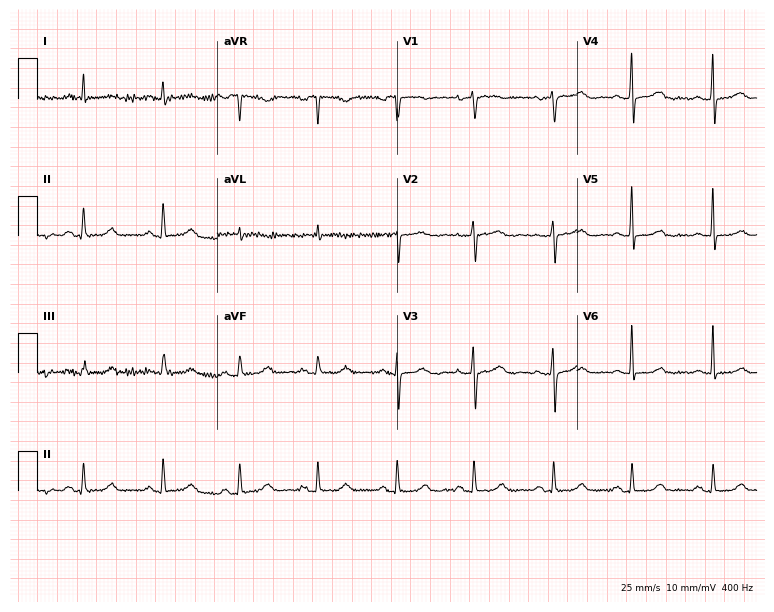
Standard 12-lead ECG recorded from a female, 71 years old. Read as a normal ECG.